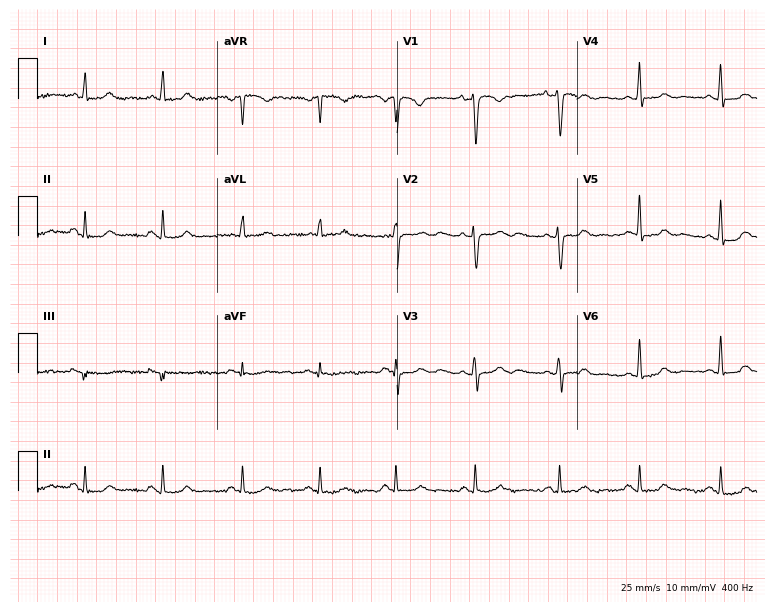
Electrocardiogram, a 42-year-old female patient. Of the six screened findings (first-degree AV block, right bundle branch block, left bundle branch block, sinus bradycardia, atrial fibrillation, sinus tachycardia), none is recorded.